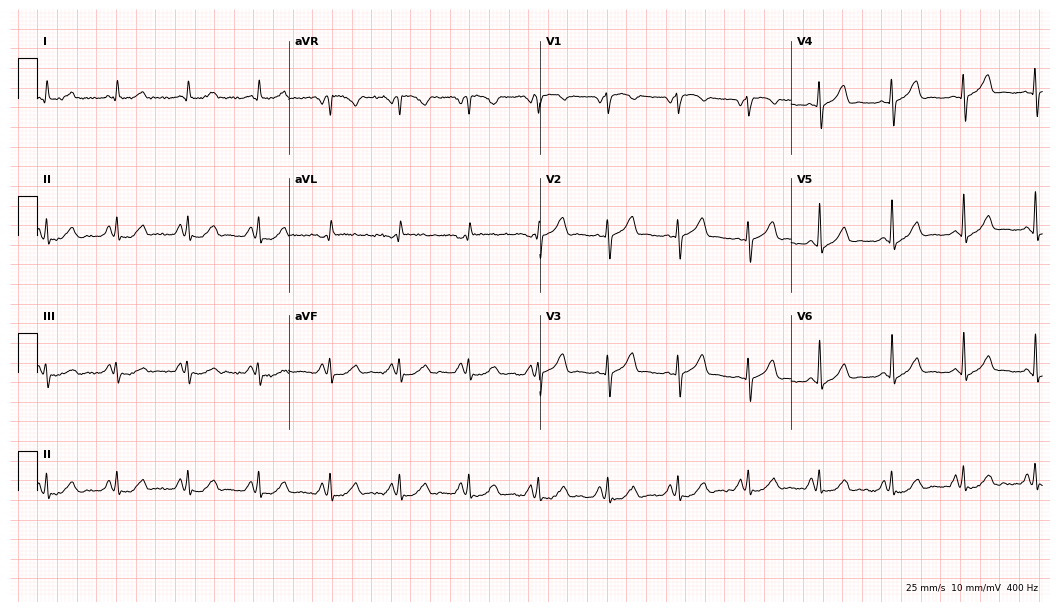
12-lead ECG from a male, 57 years old. Screened for six findings — first-degree AV block, right bundle branch block, left bundle branch block, sinus bradycardia, atrial fibrillation, sinus tachycardia — none is recorded.